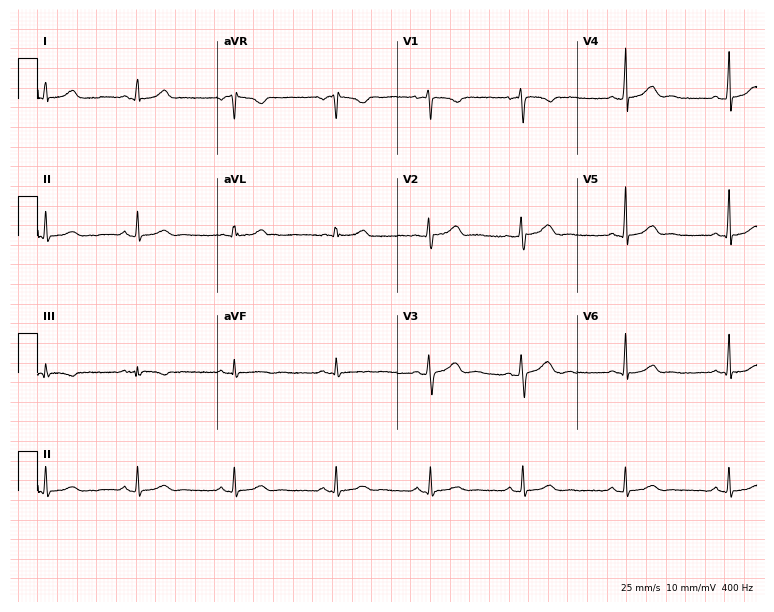
Electrocardiogram, a 33-year-old female. Overall reading on record: normal ECG.